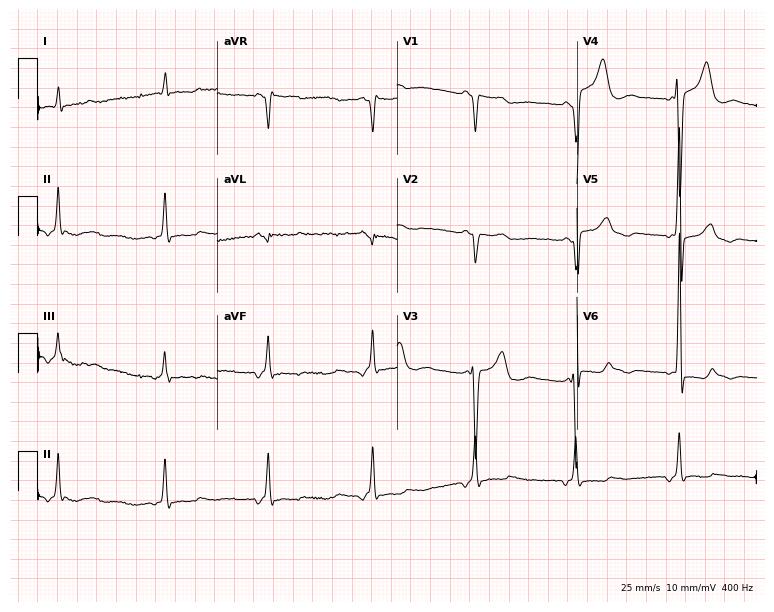
Resting 12-lead electrocardiogram (7.3-second recording at 400 Hz). Patient: a 69-year-old male. None of these six findings is recorded: first-degree AV block, right bundle branch block, left bundle branch block, sinus bradycardia, atrial fibrillation, sinus tachycardia. Findings outside these six are not listed.